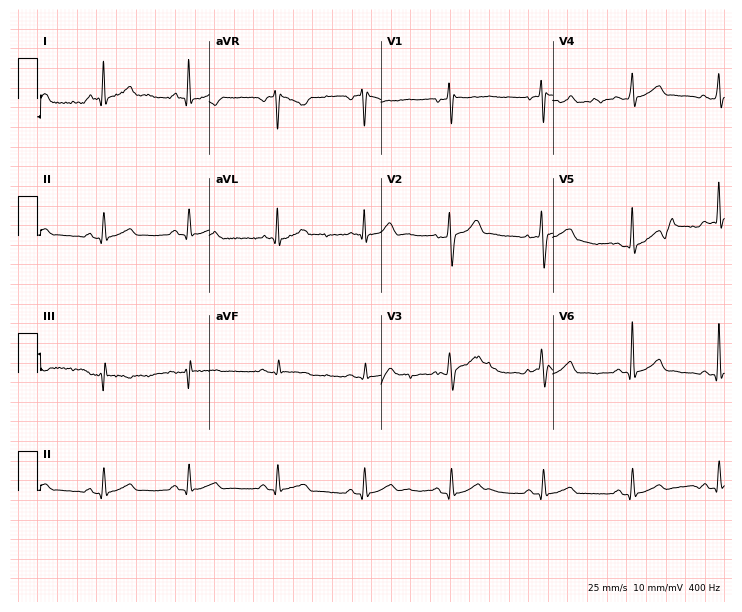
12-lead ECG from a 40-year-old man. Labelled as a normal ECG.